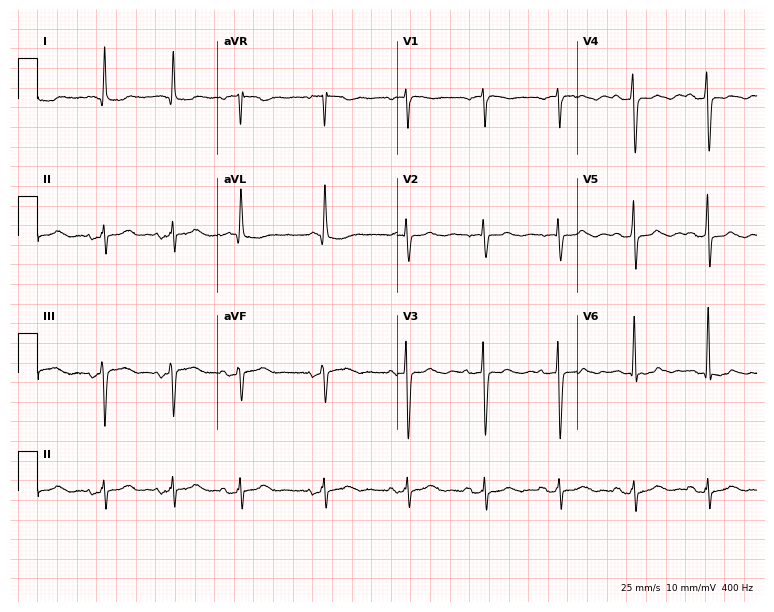
12-lead ECG from a female patient, 66 years old (7.3-second recording at 400 Hz). No first-degree AV block, right bundle branch block (RBBB), left bundle branch block (LBBB), sinus bradycardia, atrial fibrillation (AF) or sinus tachycardia recorded for this tracing.